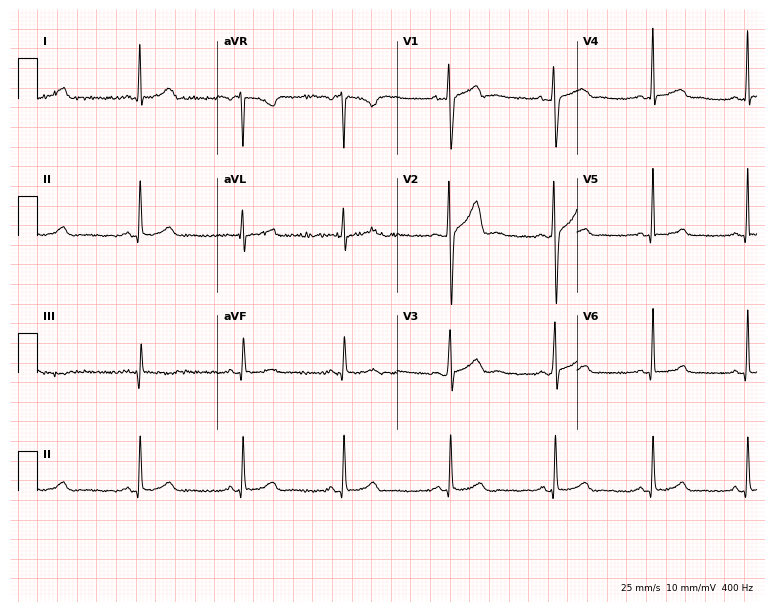
Resting 12-lead electrocardiogram. Patient: a male, 25 years old. None of these six findings is recorded: first-degree AV block, right bundle branch block (RBBB), left bundle branch block (LBBB), sinus bradycardia, atrial fibrillation (AF), sinus tachycardia.